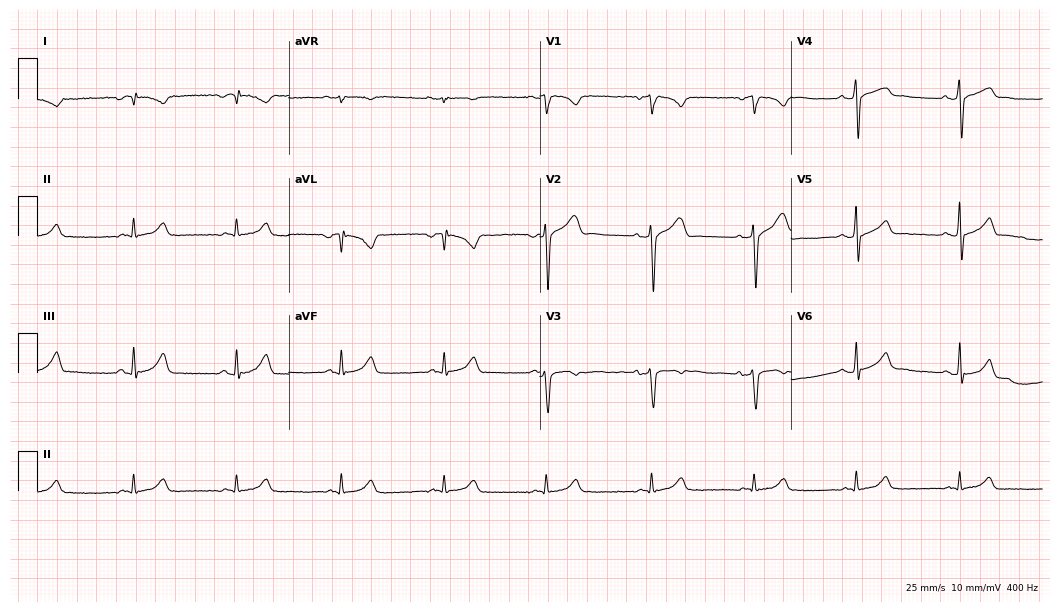
12-lead ECG (10.2-second recording at 400 Hz) from a 54-year-old male patient. Screened for six findings — first-degree AV block, right bundle branch block, left bundle branch block, sinus bradycardia, atrial fibrillation, sinus tachycardia — none is recorded. Findings outside these six are not listed.